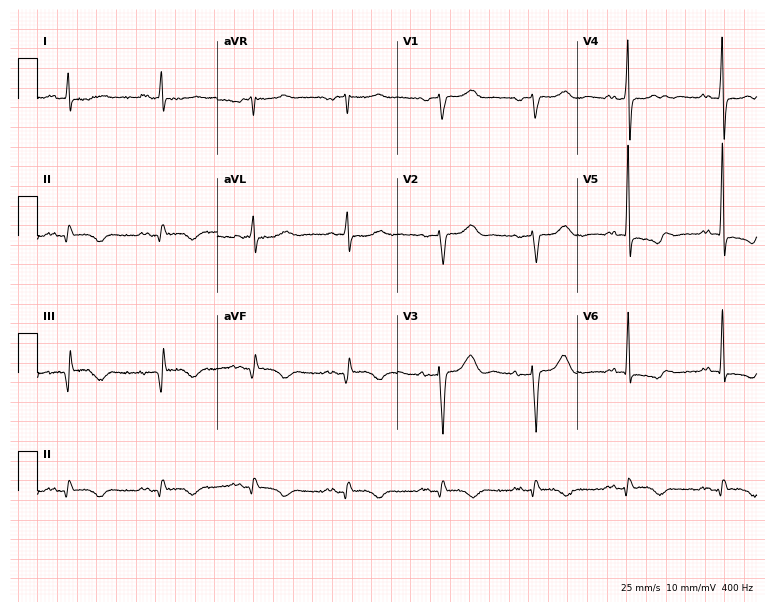
12-lead ECG from a male, 62 years old. No first-degree AV block, right bundle branch block, left bundle branch block, sinus bradycardia, atrial fibrillation or sinus tachycardia recorded for this tracing. Only these six findings were labelled.